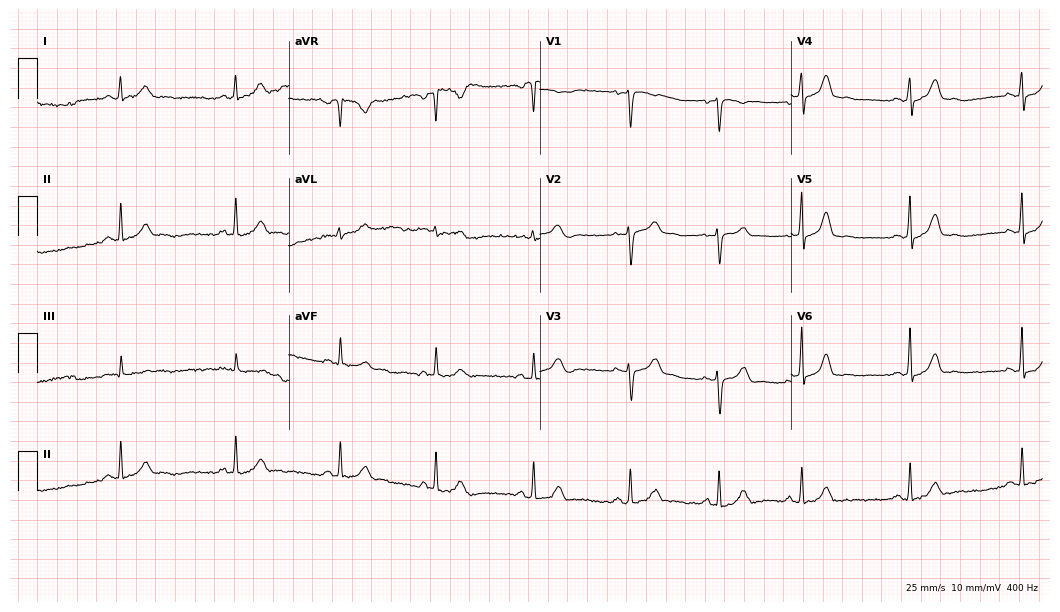
12-lead ECG from a 39-year-old woman. Labelled as a normal ECG.